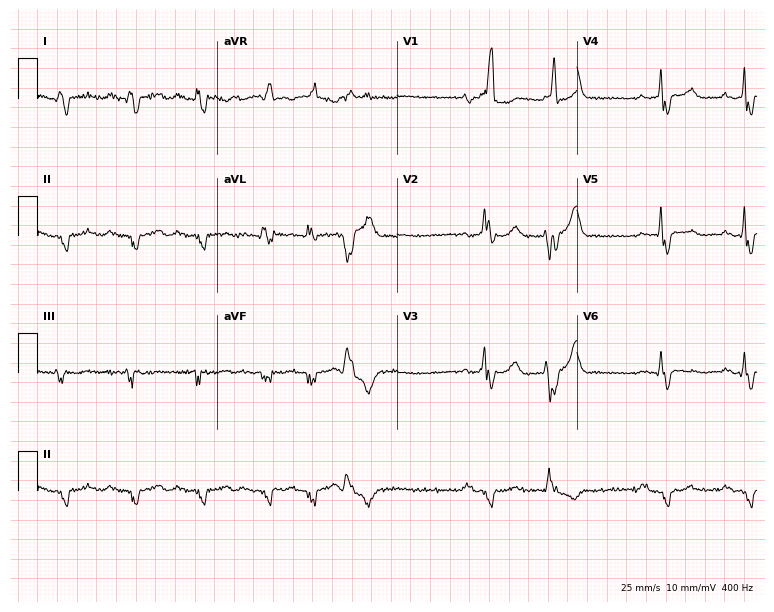
Standard 12-lead ECG recorded from a male patient, 63 years old. The tracing shows first-degree AV block, right bundle branch block.